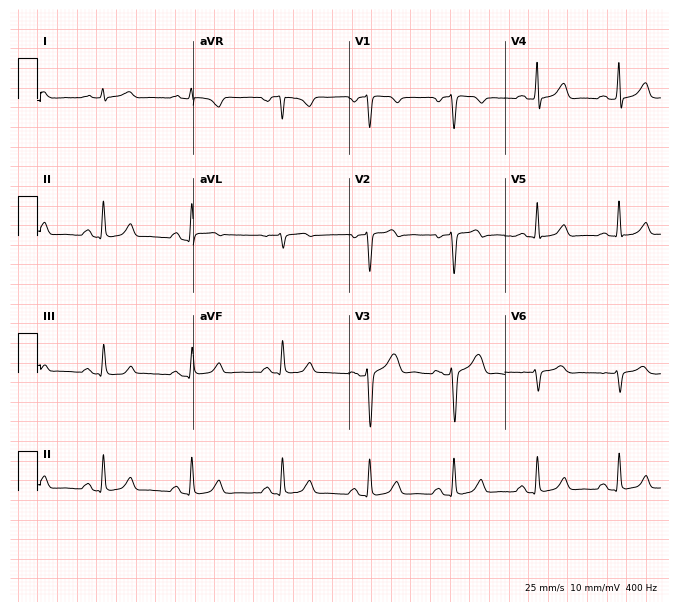
Standard 12-lead ECG recorded from a 49-year-old man (6.4-second recording at 400 Hz). None of these six findings is recorded: first-degree AV block, right bundle branch block (RBBB), left bundle branch block (LBBB), sinus bradycardia, atrial fibrillation (AF), sinus tachycardia. Other findings, if any, are not listed.